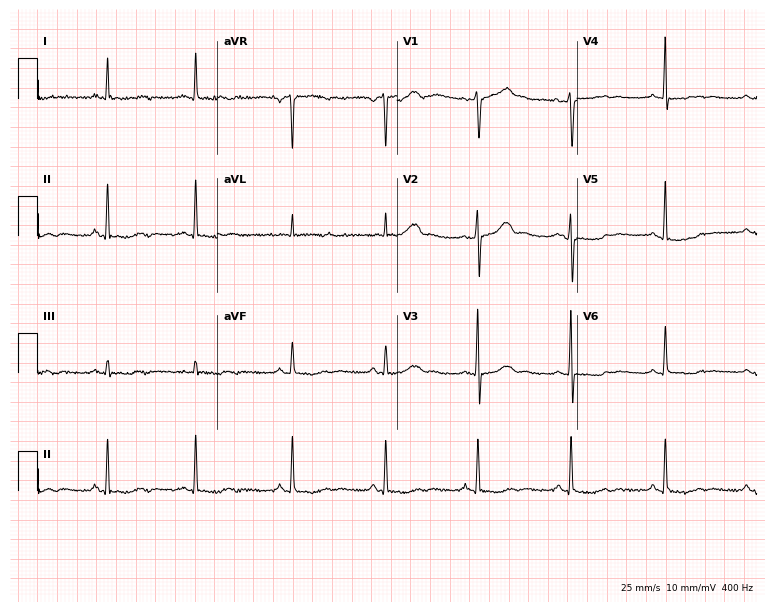
Electrocardiogram (7.3-second recording at 400 Hz), an 83-year-old woman. Of the six screened findings (first-degree AV block, right bundle branch block (RBBB), left bundle branch block (LBBB), sinus bradycardia, atrial fibrillation (AF), sinus tachycardia), none is recorded.